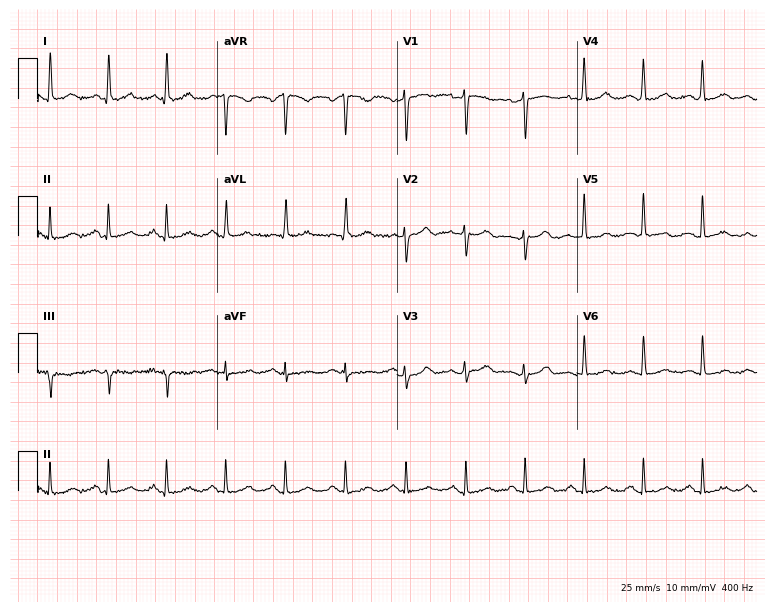
ECG — a woman, 45 years old. Screened for six findings — first-degree AV block, right bundle branch block (RBBB), left bundle branch block (LBBB), sinus bradycardia, atrial fibrillation (AF), sinus tachycardia — none is recorded.